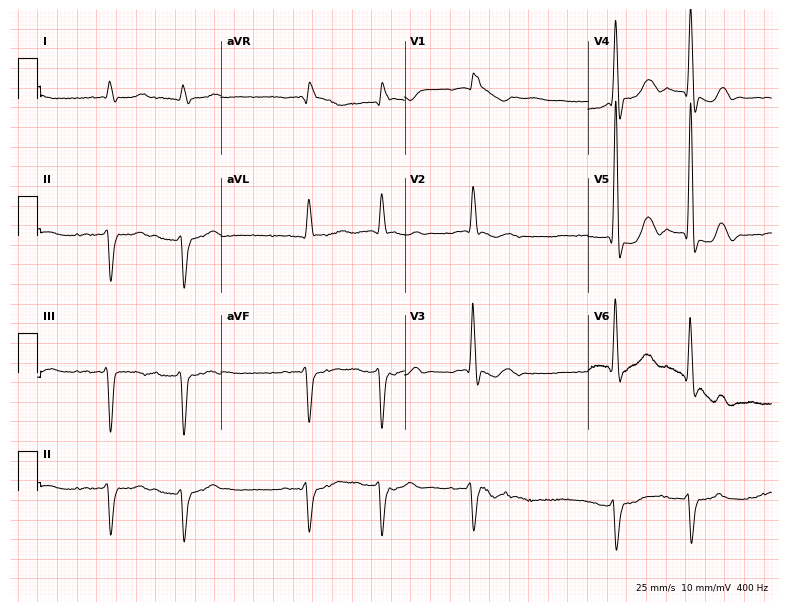
ECG (7.5-second recording at 400 Hz) — a 74-year-old male. Screened for six findings — first-degree AV block, right bundle branch block, left bundle branch block, sinus bradycardia, atrial fibrillation, sinus tachycardia — none is recorded.